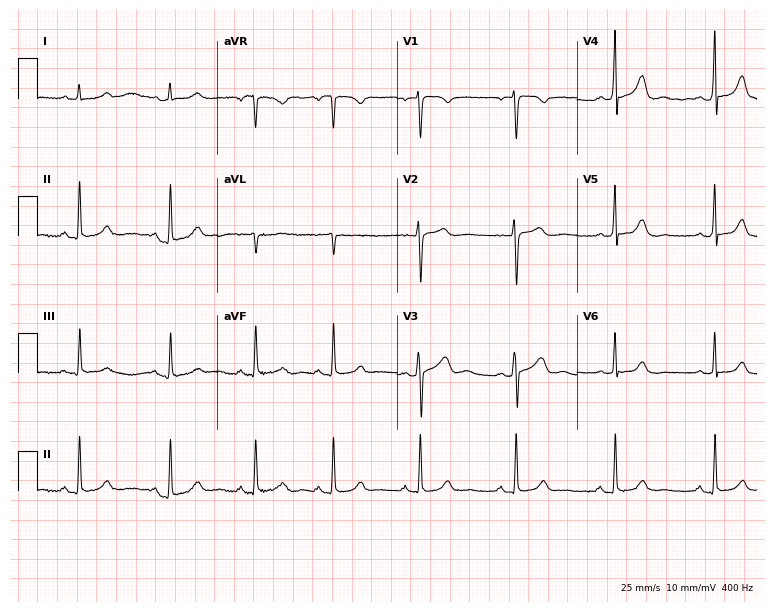
Resting 12-lead electrocardiogram. Patient: a 29-year-old woman. None of these six findings is recorded: first-degree AV block, right bundle branch block, left bundle branch block, sinus bradycardia, atrial fibrillation, sinus tachycardia. Findings outside these six are not listed.